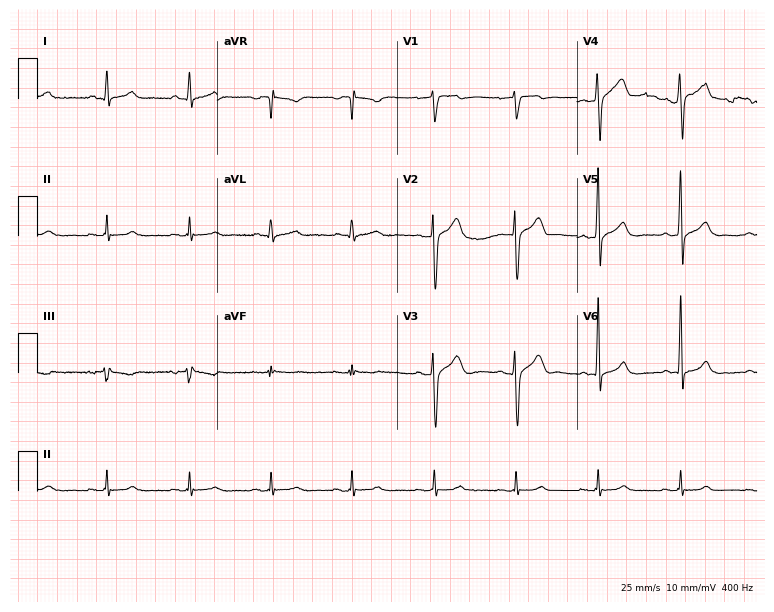
12-lead ECG from a man, 49 years old (7.3-second recording at 400 Hz). No first-degree AV block, right bundle branch block, left bundle branch block, sinus bradycardia, atrial fibrillation or sinus tachycardia recorded for this tracing.